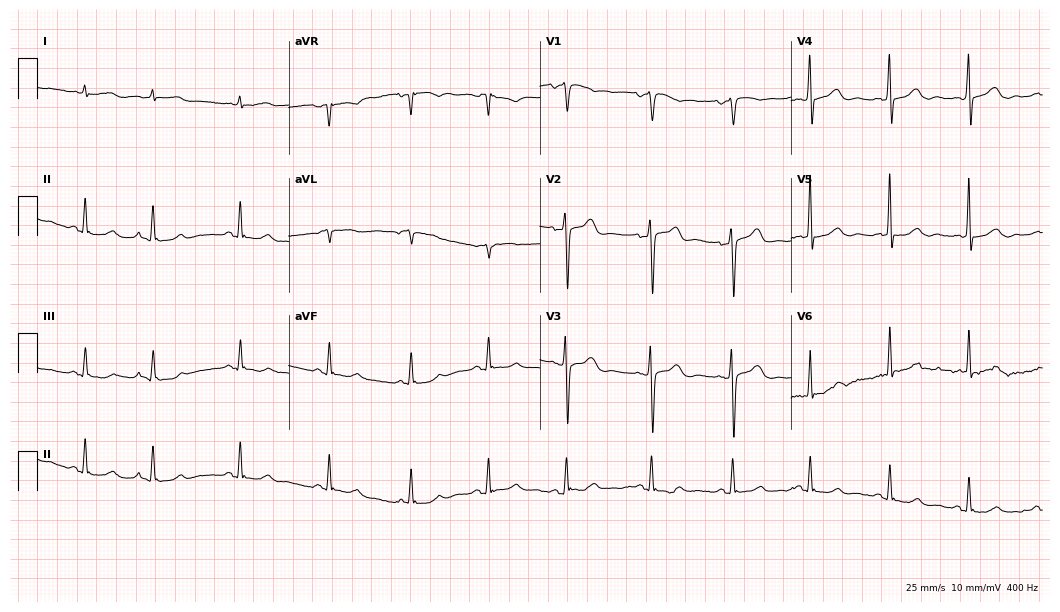
12-lead ECG from a female, 80 years old. No first-degree AV block, right bundle branch block (RBBB), left bundle branch block (LBBB), sinus bradycardia, atrial fibrillation (AF) or sinus tachycardia recorded for this tracing.